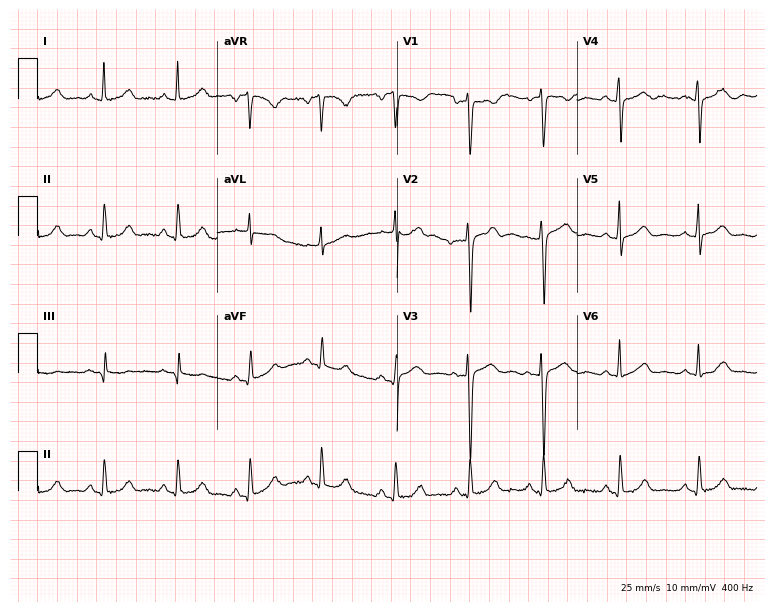
Standard 12-lead ECG recorded from a 46-year-old female. None of these six findings is recorded: first-degree AV block, right bundle branch block, left bundle branch block, sinus bradycardia, atrial fibrillation, sinus tachycardia.